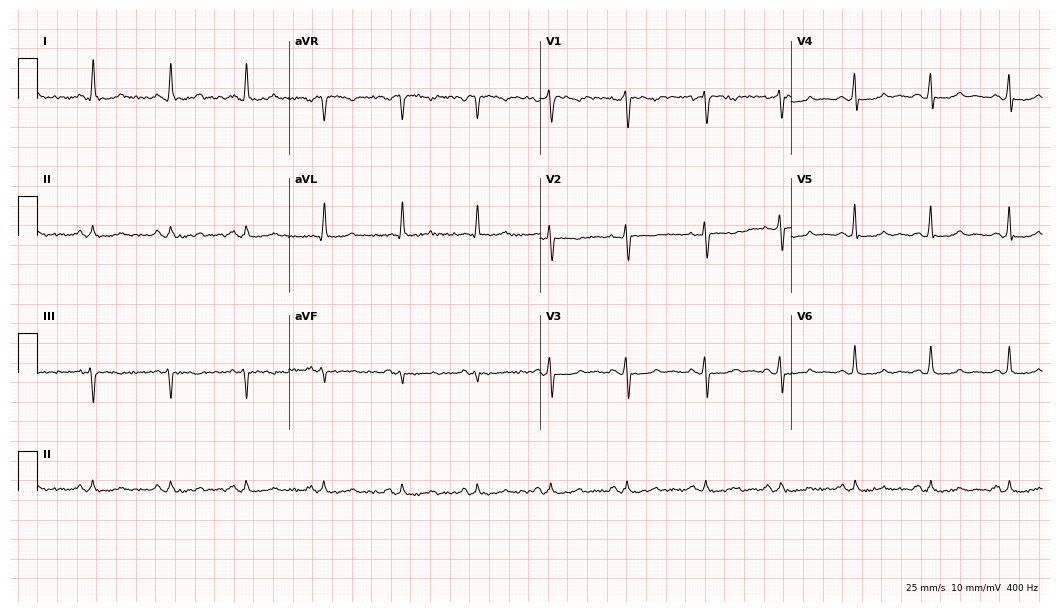
Standard 12-lead ECG recorded from a 64-year-old female (10.2-second recording at 400 Hz). None of these six findings is recorded: first-degree AV block, right bundle branch block, left bundle branch block, sinus bradycardia, atrial fibrillation, sinus tachycardia.